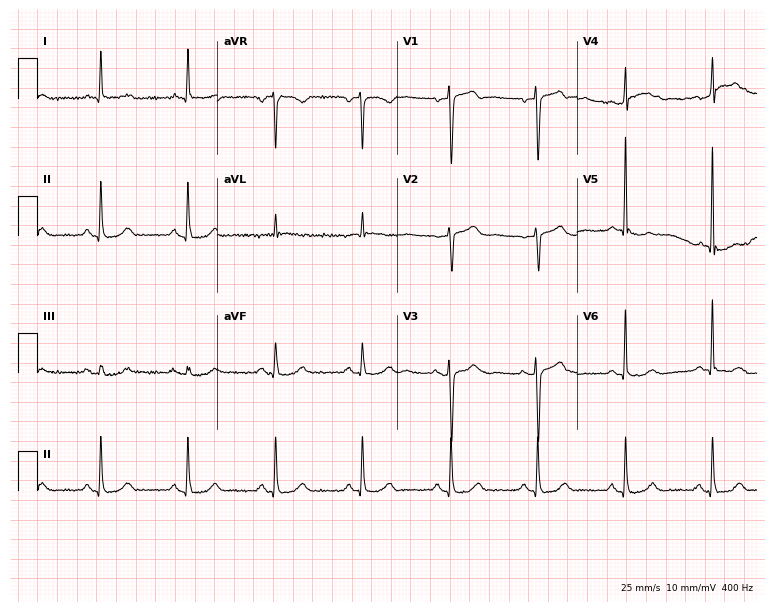
Standard 12-lead ECG recorded from a 73-year-old female patient (7.3-second recording at 400 Hz). Read as a normal ECG.